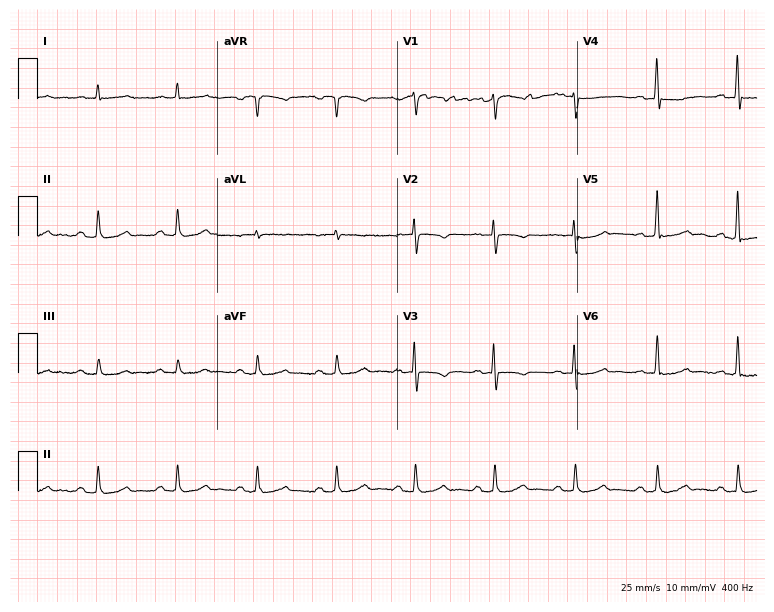
Resting 12-lead electrocardiogram (7.3-second recording at 400 Hz). Patient: a 63-year-old man. None of these six findings is recorded: first-degree AV block, right bundle branch block, left bundle branch block, sinus bradycardia, atrial fibrillation, sinus tachycardia. Findings outside these six are not listed.